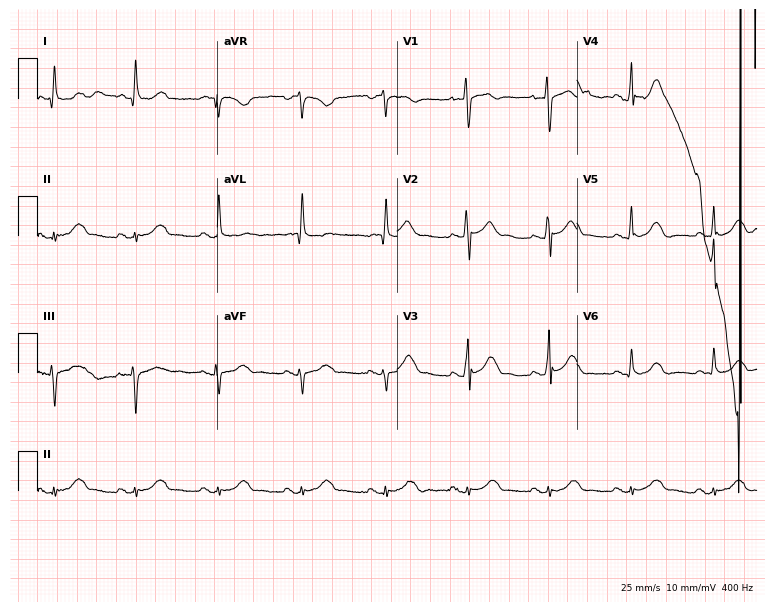
Electrocardiogram, a male patient, 69 years old. Of the six screened findings (first-degree AV block, right bundle branch block, left bundle branch block, sinus bradycardia, atrial fibrillation, sinus tachycardia), none is recorded.